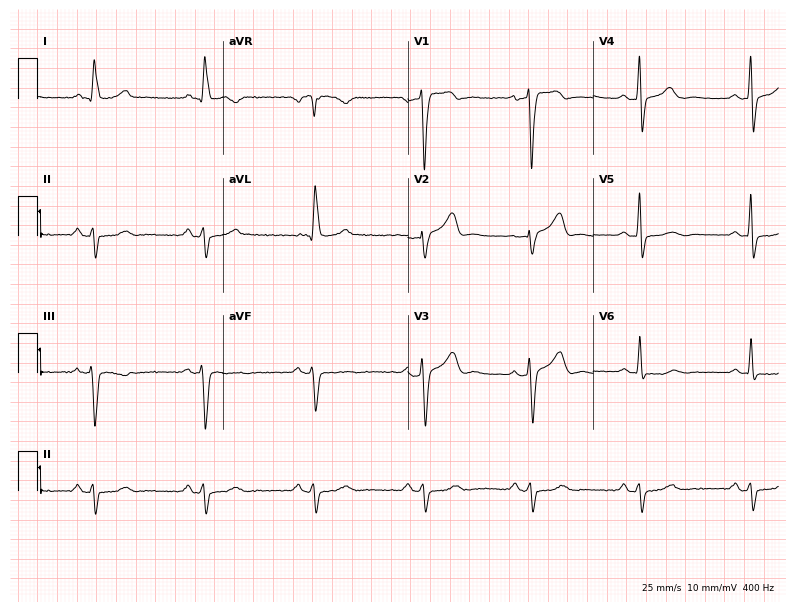
Electrocardiogram, a 68-year-old male patient. Of the six screened findings (first-degree AV block, right bundle branch block, left bundle branch block, sinus bradycardia, atrial fibrillation, sinus tachycardia), none is recorded.